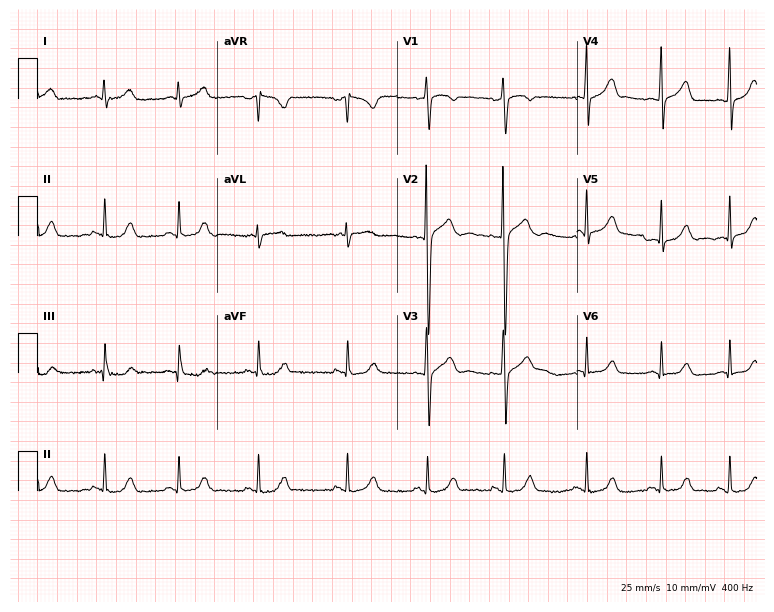
Resting 12-lead electrocardiogram (7.3-second recording at 400 Hz). Patient: a woman, 20 years old. Read as a normal ECG.